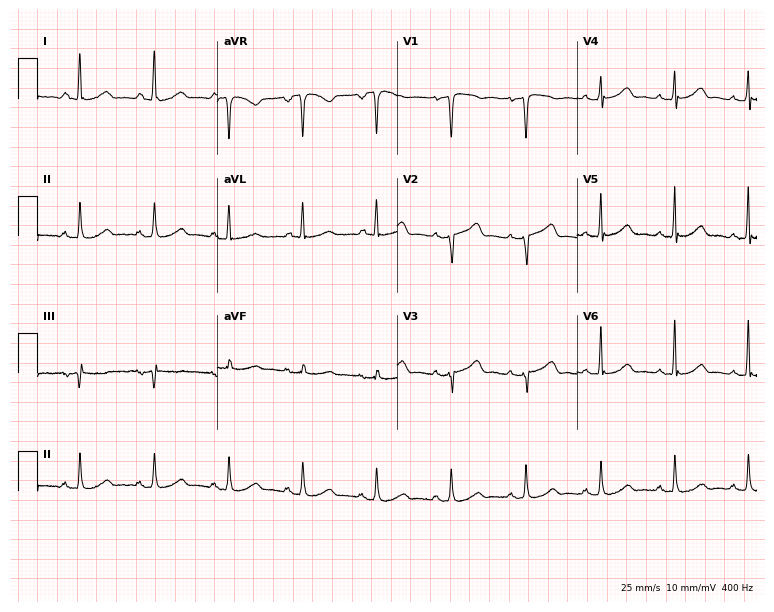
Resting 12-lead electrocardiogram (7.3-second recording at 400 Hz). Patient: a woman, 48 years old. Read as a normal ECG.